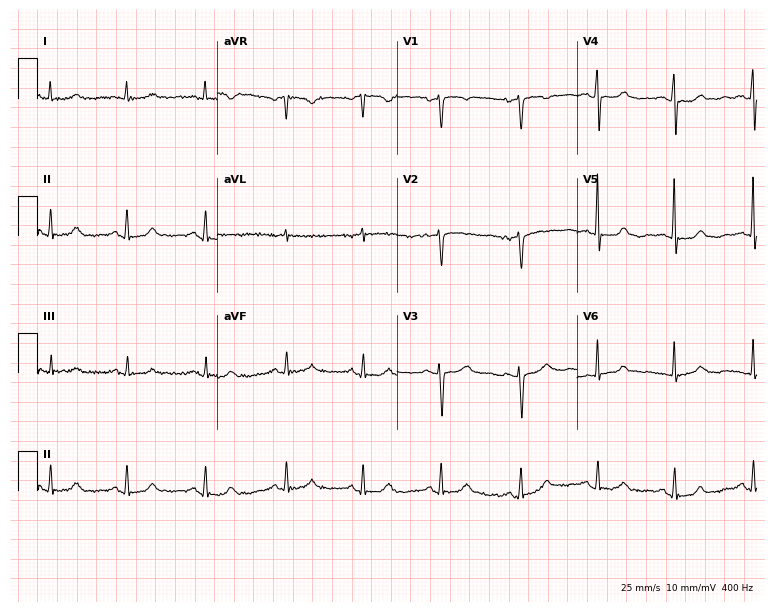
Resting 12-lead electrocardiogram (7.3-second recording at 400 Hz). Patient: a female, 74 years old. Read as a normal ECG.